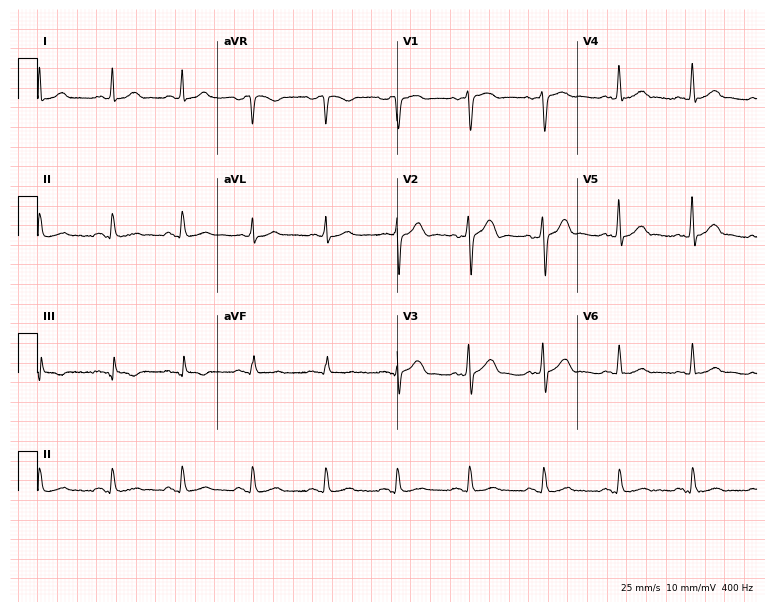
12-lead ECG from a 30-year-old male patient. Screened for six findings — first-degree AV block, right bundle branch block (RBBB), left bundle branch block (LBBB), sinus bradycardia, atrial fibrillation (AF), sinus tachycardia — none is recorded. Other findings, if any, are not listed.